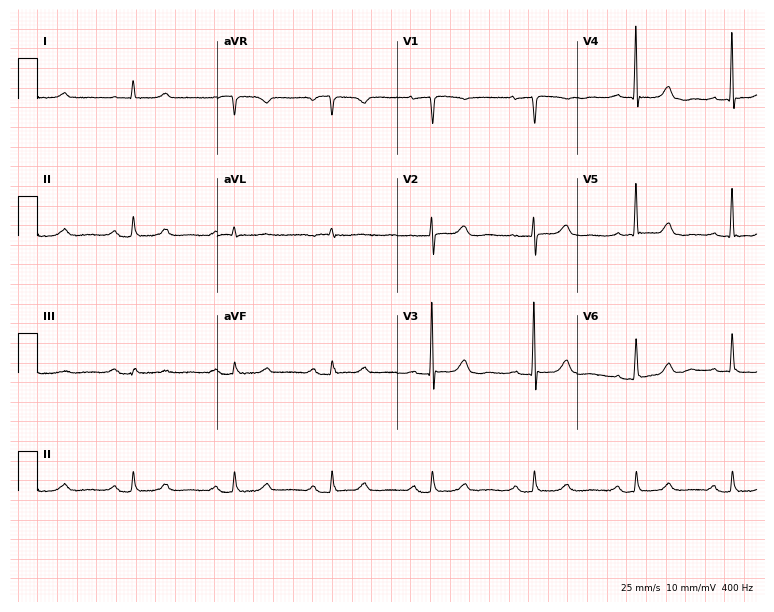
Standard 12-lead ECG recorded from a 74-year-old female patient (7.3-second recording at 400 Hz). Read as a normal ECG.